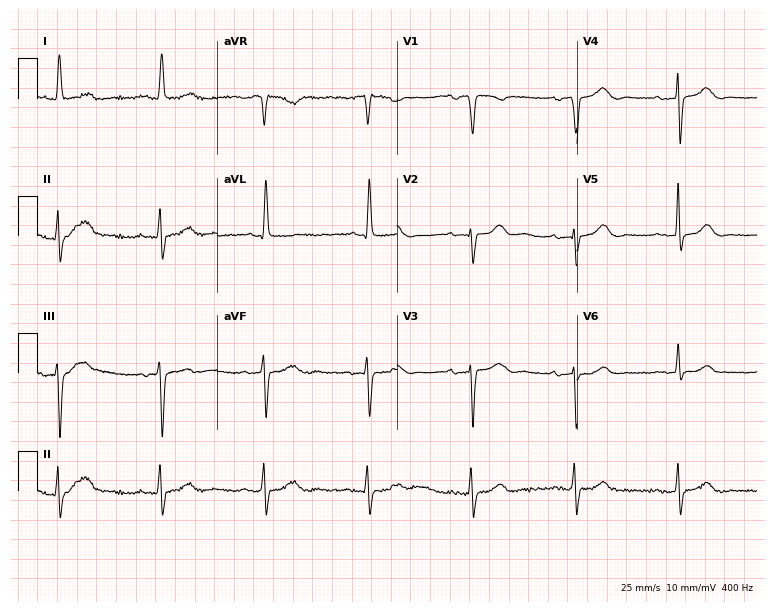
Electrocardiogram, an 84-year-old female patient. Overall reading on record: normal ECG.